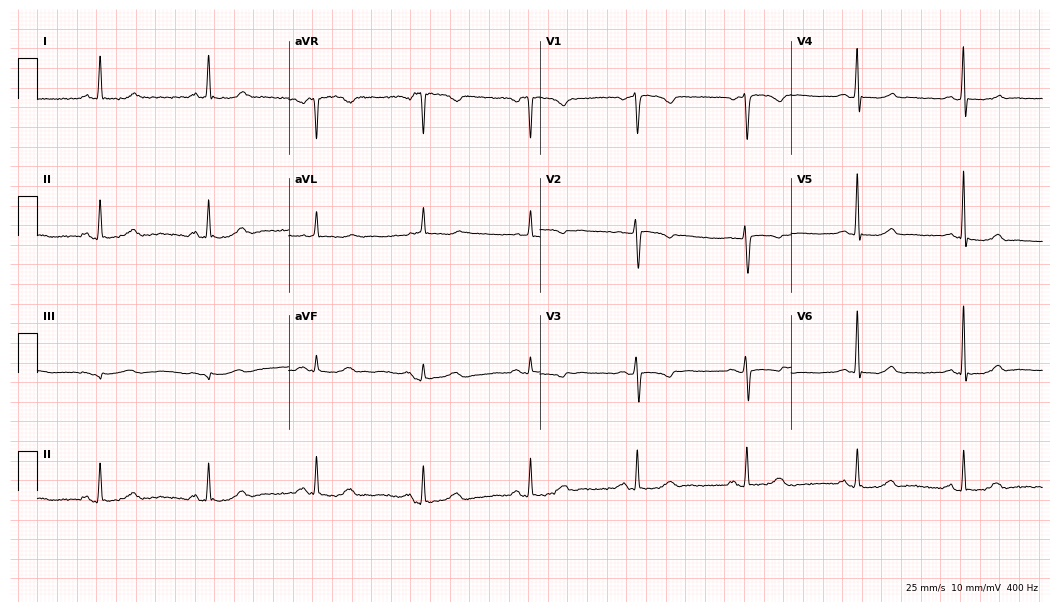
Electrocardiogram (10.2-second recording at 400 Hz), a 67-year-old female patient. Of the six screened findings (first-degree AV block, right bundle branch block, left bundle branch block, sinus bradycardia, atrial fibrillation, sinus tachycardia), none is recorded. Only these six findings were labelled.